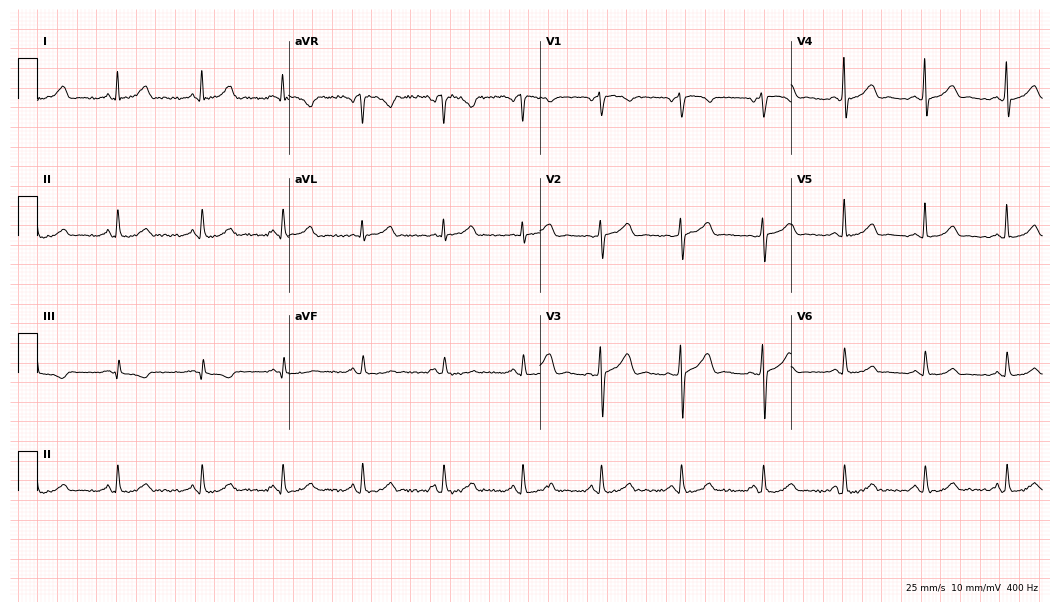
Resting 12-lead electrocardiogram (10.2-second recording at 400 Hz). Patient: a woman, 40 years old. Read as a normal ECG.